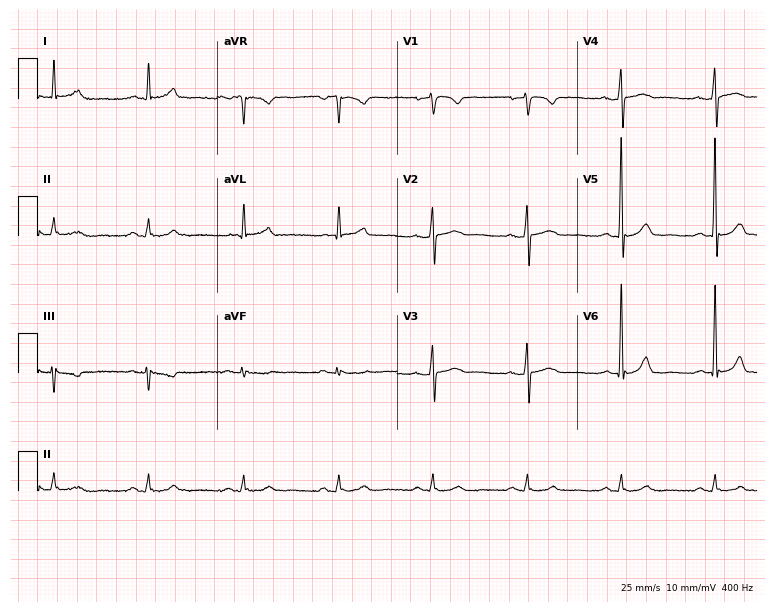
ECG — a male patient, 63 years old. Labelled as a normal ECG.